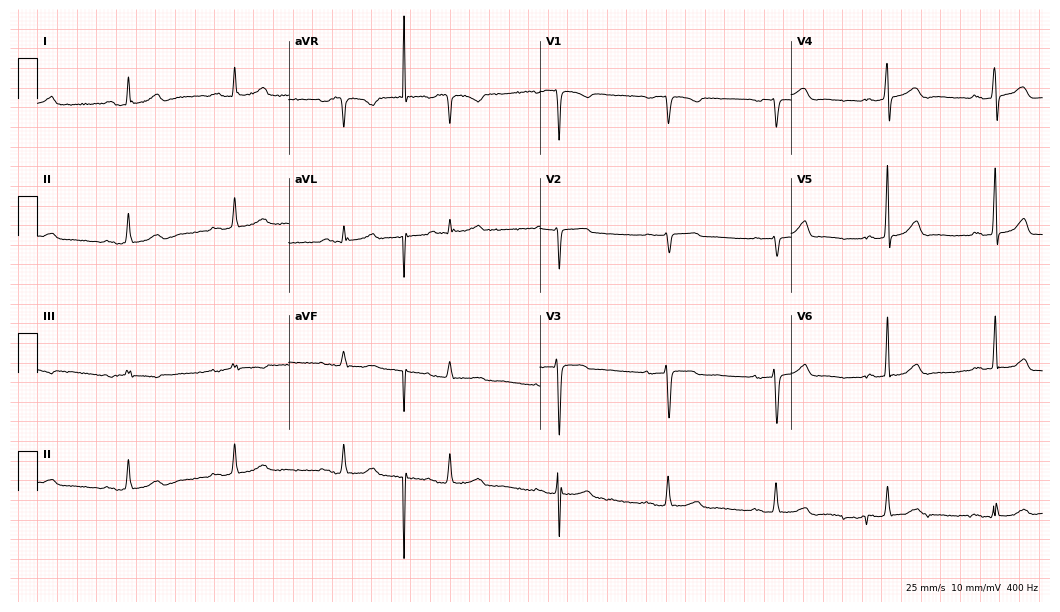
12-lead ECG from a 58-year-old man (10.2-second recording at 400 Hz). Shows first-degree AV block.